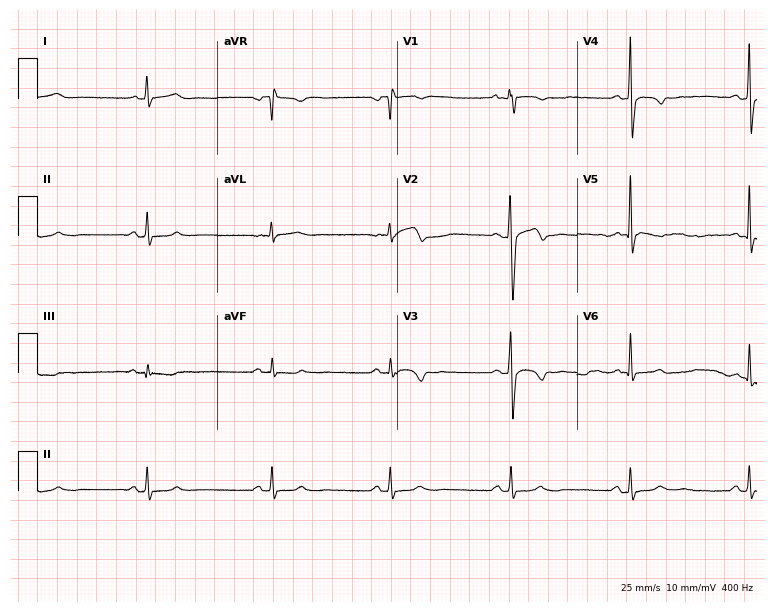
12-lead ECG from a male, 39 years old. Shows sinus bradycardia (a sinus rate of 50 beats per minute or less).